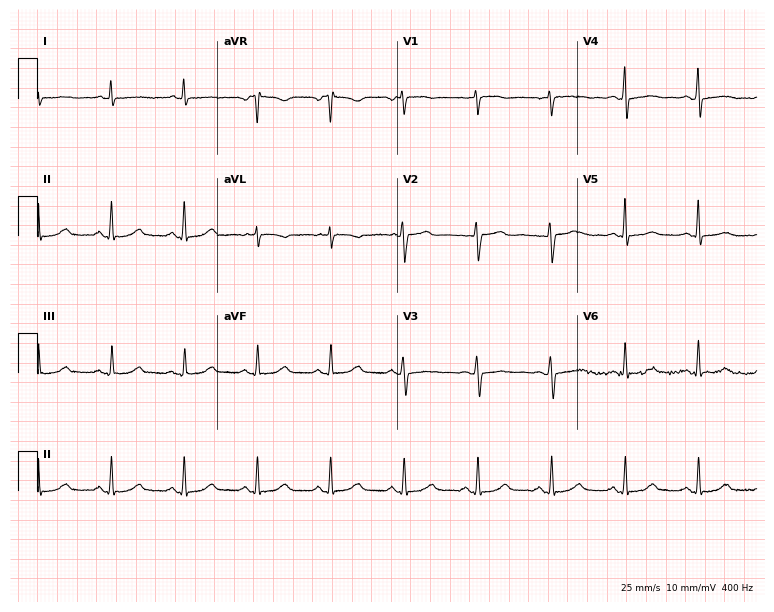
12-lead ECG (7.3-second recording at 400 Hz) from a 61-year-old female. Screened for six findings — first-degree AV block, right bundle branch block, left bundle branch block, sinus bradycardia, atrial fibrillation, sinus tachycardia — none is recorded.